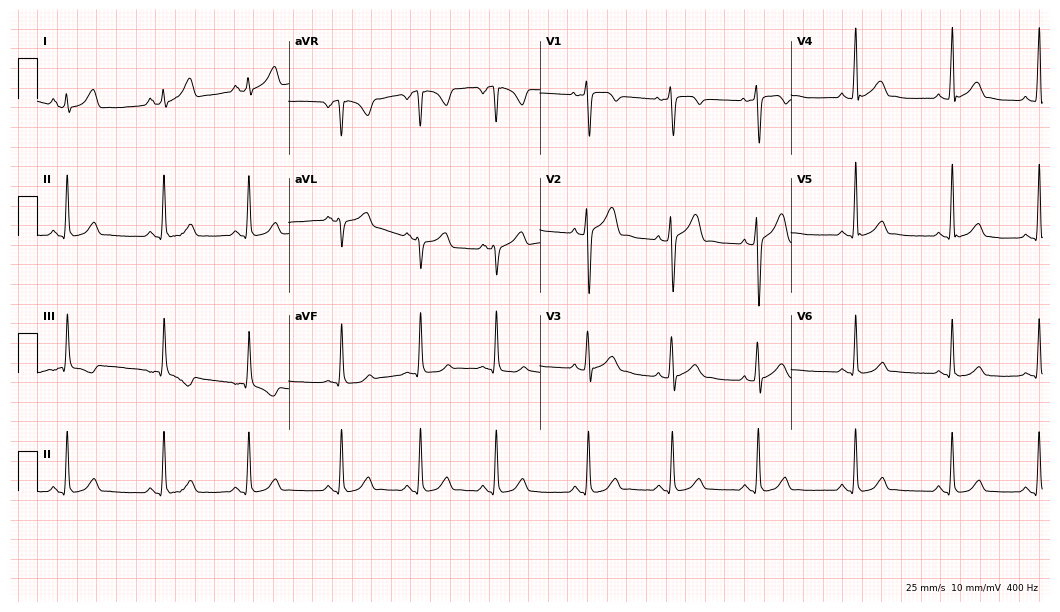
Electrocardiogram (10.2-second recording at 400 Hz), a male, 22 years old. Overall reading on record: normal ECG.